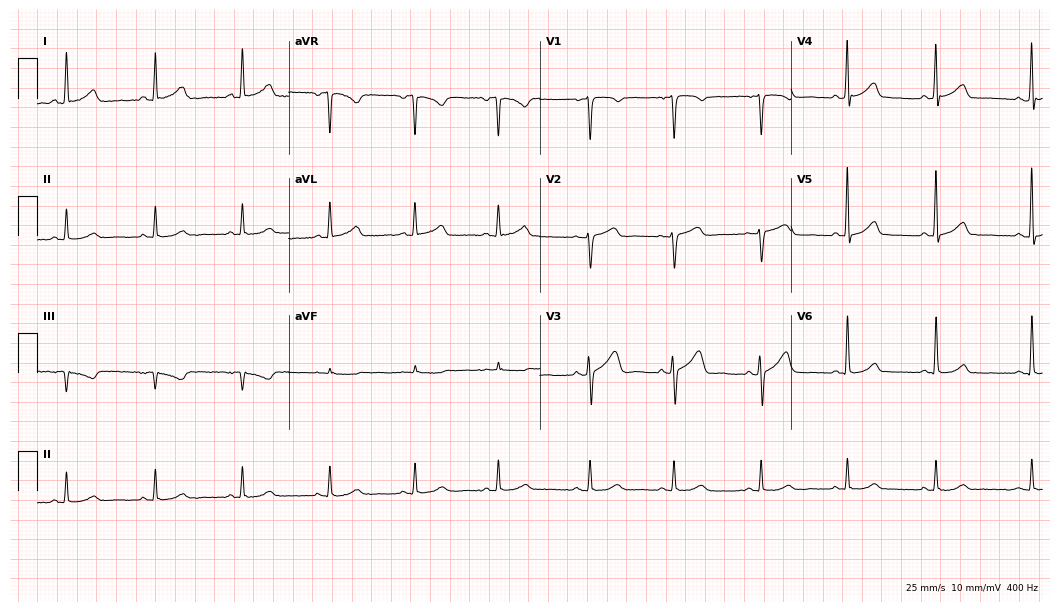
12-lead ECG from a 46-year-old female. Recorded interpretation: within normal limits.